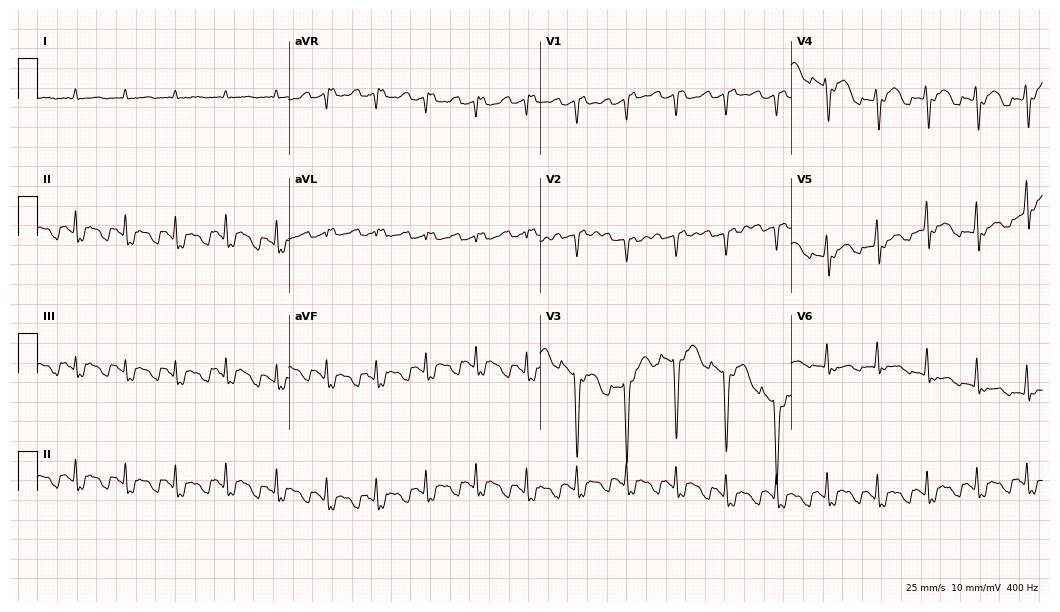
Resting 12-lead electrocardiogram (10.2-second recording at 400 Hz). Patient: a 58-year-old female. None of these six findings is recorded: first-degree AV block, right bundle branch block, left bundle branch block, sinus bradycardia, atrial fibrillation, sinus tachycardia.